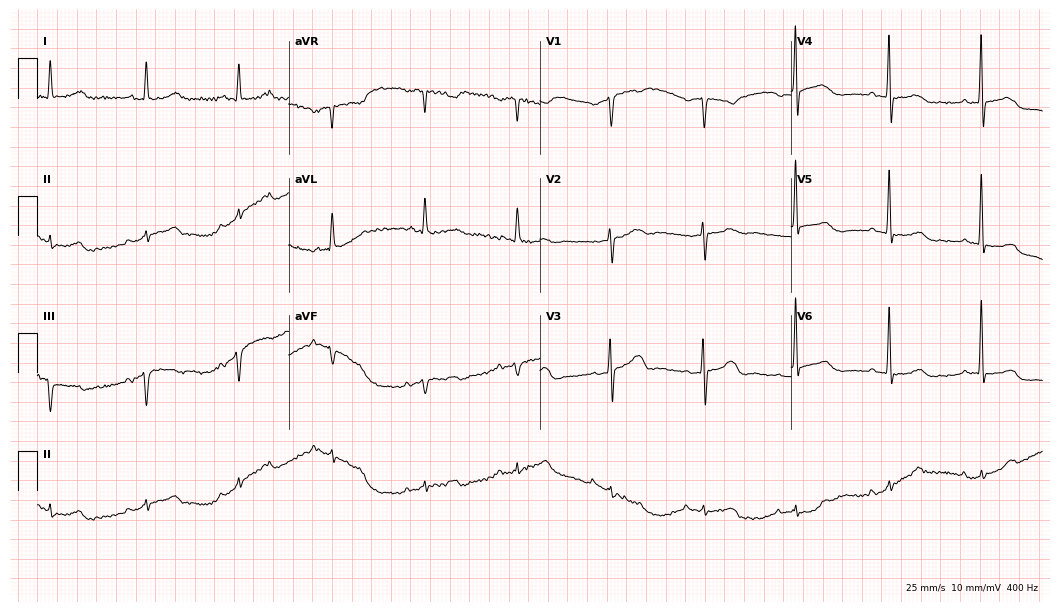
12-lead ECG from an 80-year-old male patient. Screened for six findings — first-degree AV block, right bundle branch block, left bundle branch block, sinus bradycardia, atrial fibrillation, sinus tachycardia — none is recorded.